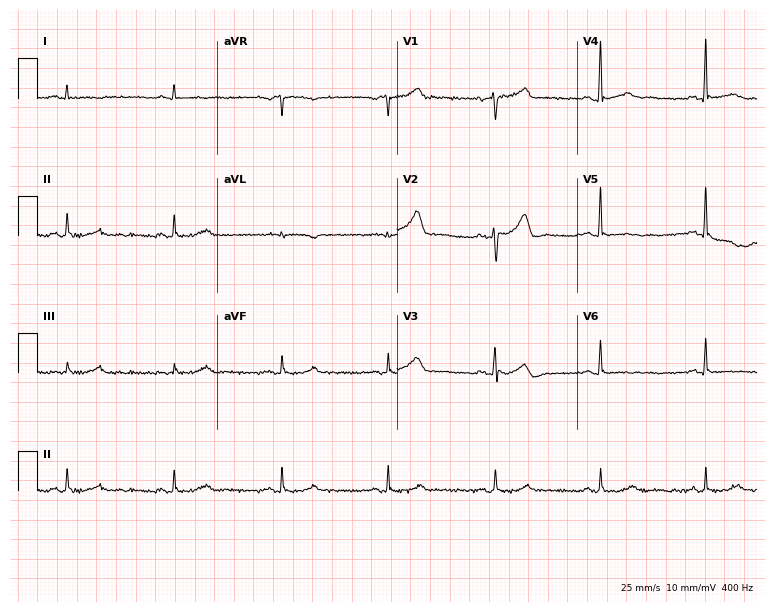
ECG (7.3-second recording at 400 Hz) — a male, 64 years old. Screened for six findings — first-degree AV block, right bundle branch block, left bundle branch block, sinus bradycardia, atrial fibrillation, sinus tachycardia — none is recorded. Only these six findings were labelled.